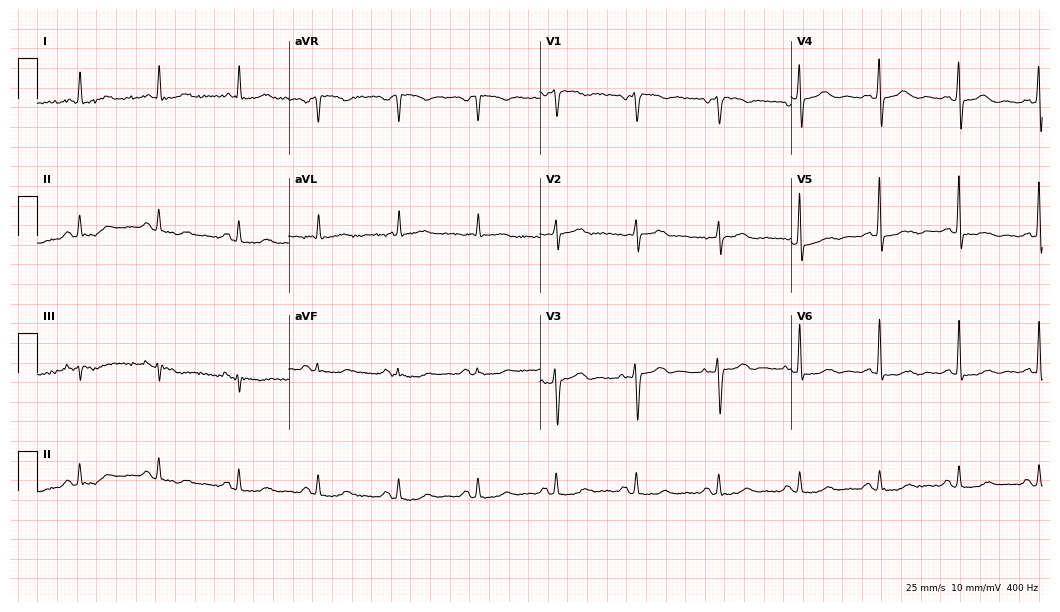
Standard 12-lead ECG recorded from a male patient, 73 years old. Read as a normal ECG.